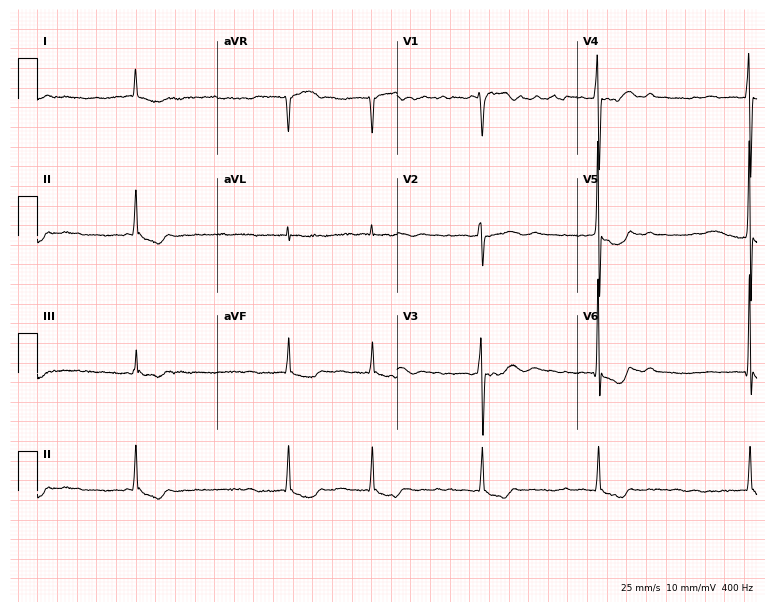
Resting 12-lead electrocardiogram (7.3-second recording at 400 Hz). Patient: a man, 74 years old. The tracing shows atrial fibrillation.